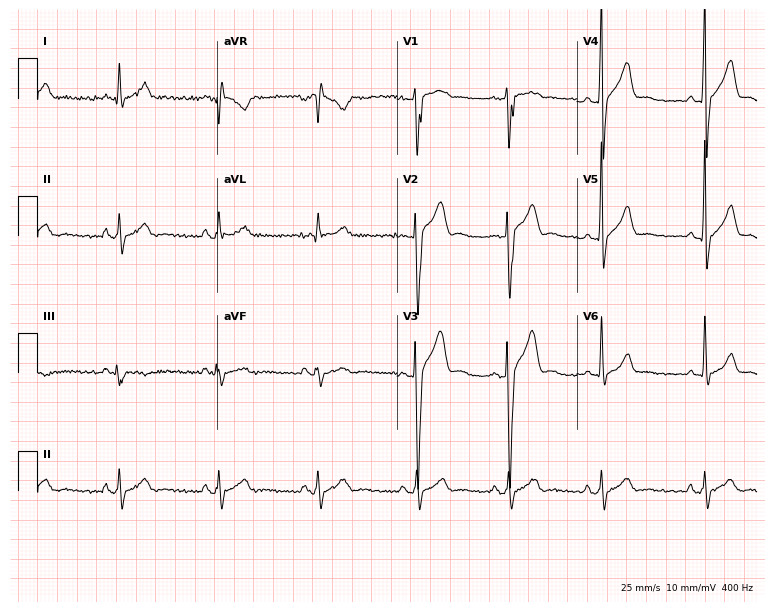
Resting 12-lead electrocardiogram (7.3-second recording at 400 Hz). Patient: a man, 20 years old. Read as a normal ECG.